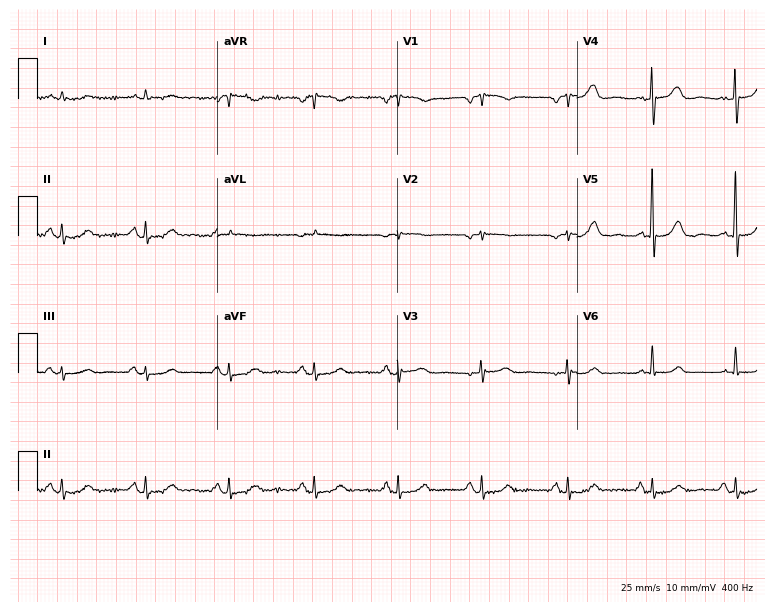
12-lead ECG from a man, 74 years old. No first-degree AV block, right bundle branch block (RBBB), left bundle branch block (LBBB), sinus bradycardia, atrial fibrillation (AF) or sinus tachycardia recorded for this tracing. Findings outside these six are not listed.